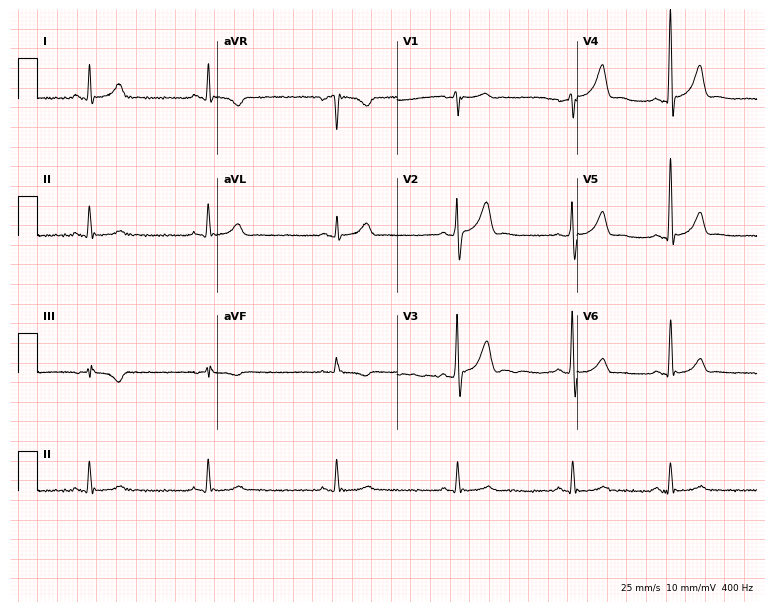
Resting 12-lead electrocardiogram (7.3-second recording at 400 Hz). Patient: a 44-year-old male. The tracing shows sinus bradycardia (a sinus rate of 50 beats per minute or less).